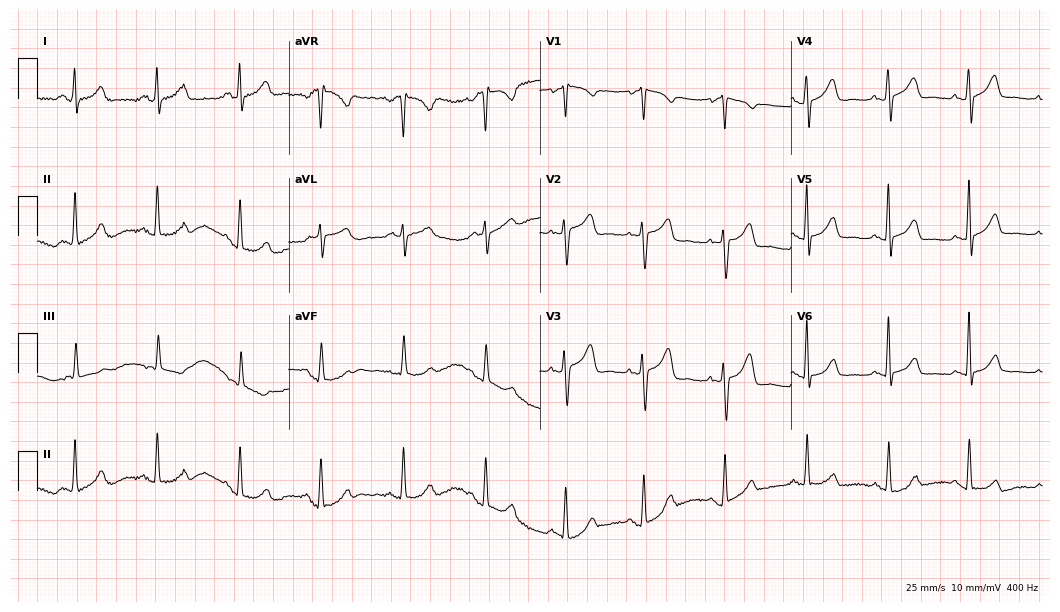
ECG — a 50-year-old female. Labelled as a normal ECG.